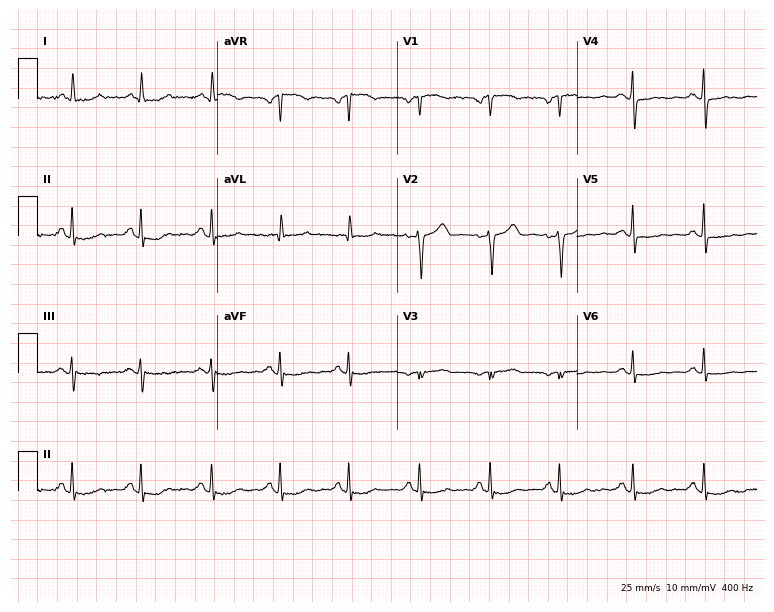
Standard 12-lead ECG recorded from a female, 59 years old (7.3-second recording at 400 Hz). None of these six findings is recorded: first-degree AV block, right bundle branch block (RBBB), left bundle branch block (LBBB), sinus bradycardia, atrial fibrillation (AF), sinus tachycardia. Findings outside these six are not listed.